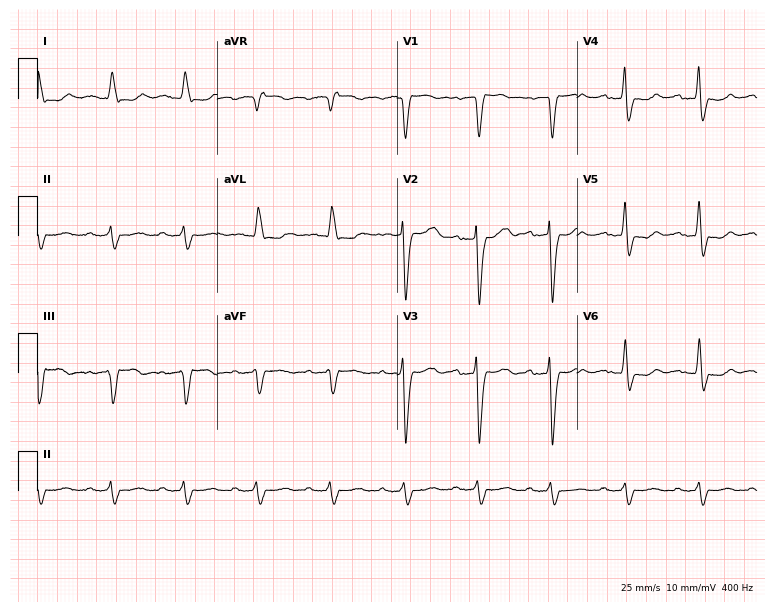
12-lead ECG from a man, 80 years old. Shows left bundle branch block (LBBB).